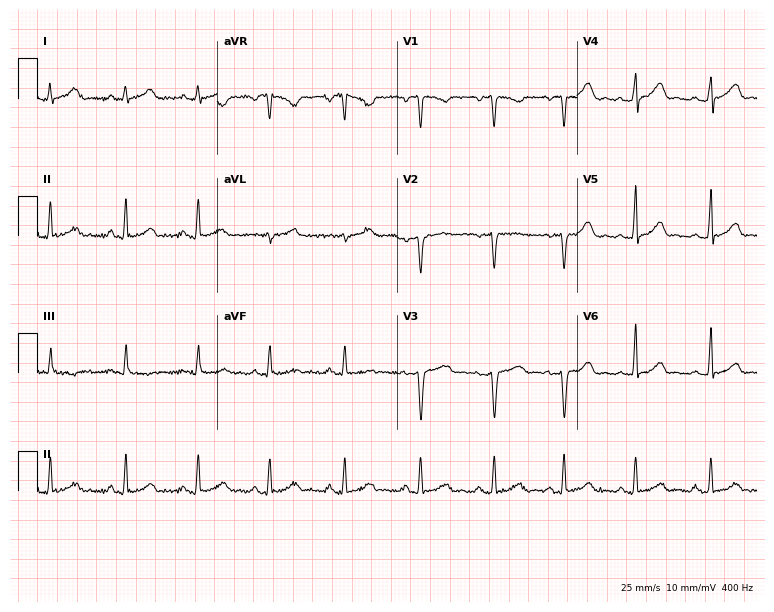
Electrocardiogram, a 28-year-old woman. Of the six screened findings (first-degree AV block, right bundle branch block (RBBB), left bundle branch block (LBBB), sinus bradycardia, atrial fibrillation (AF), sinus tachycardia), none is recorded. Findings outside these six are not listed.